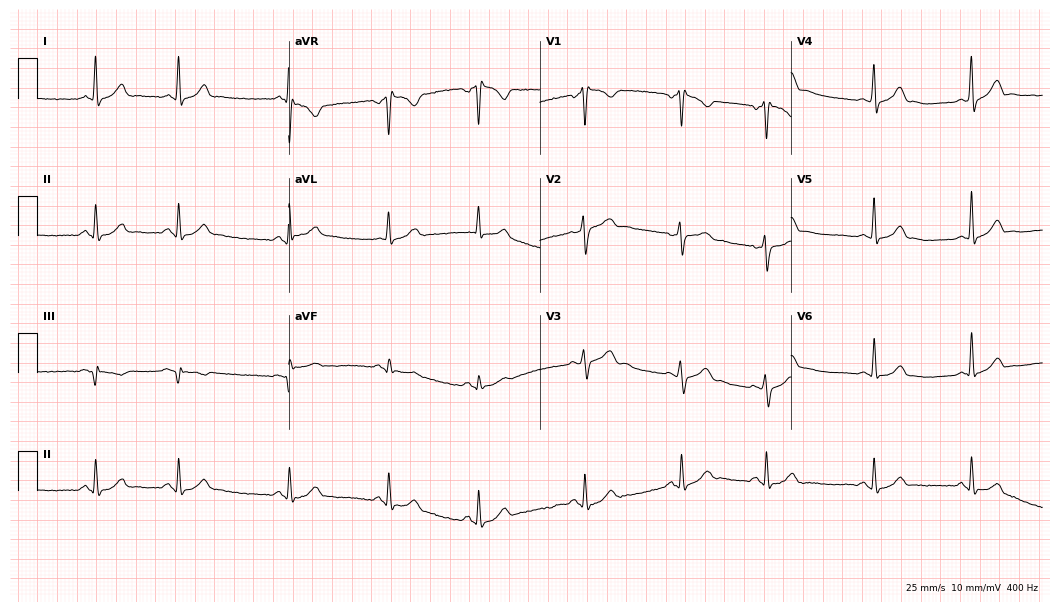
12-lead ECG from a man, 24 years old (10.2-second recording at 400 Hz). Recorded interpretation: within normal limits.